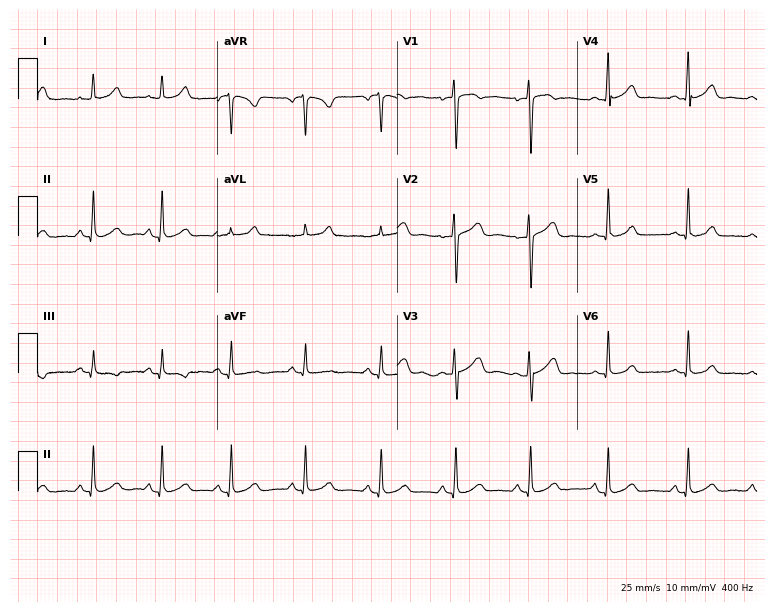
Electrocardiogram, a 43-year-old female patient. Overall reading on record: normal ECG.